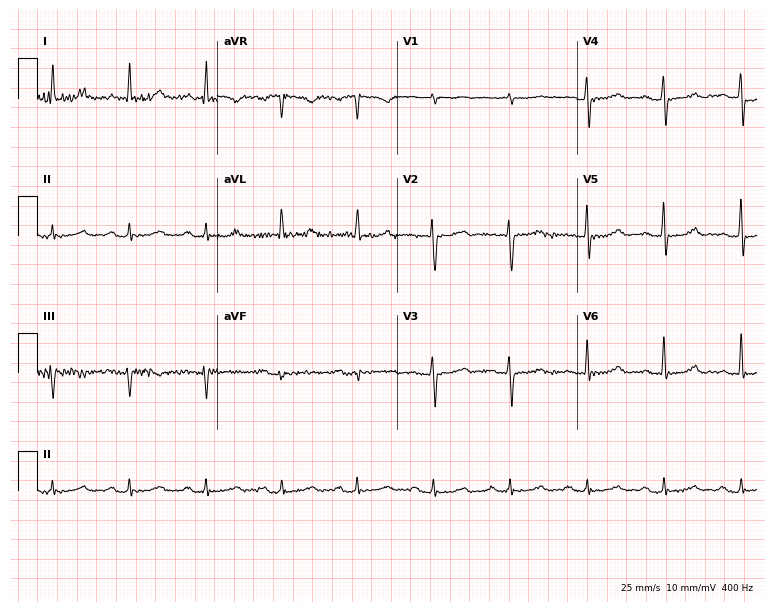
ECG (7.3-second recording at 400 Hz) — a female, 63 years old. Screened for six findings — first-degree AV block, right bundle branch block (RBBB), left bundle branch block (LBBB), sinus bradycardia, atrial fibrillation (AF), sinus tachycardia — none is recorded. Other findings, if any, are not listed.